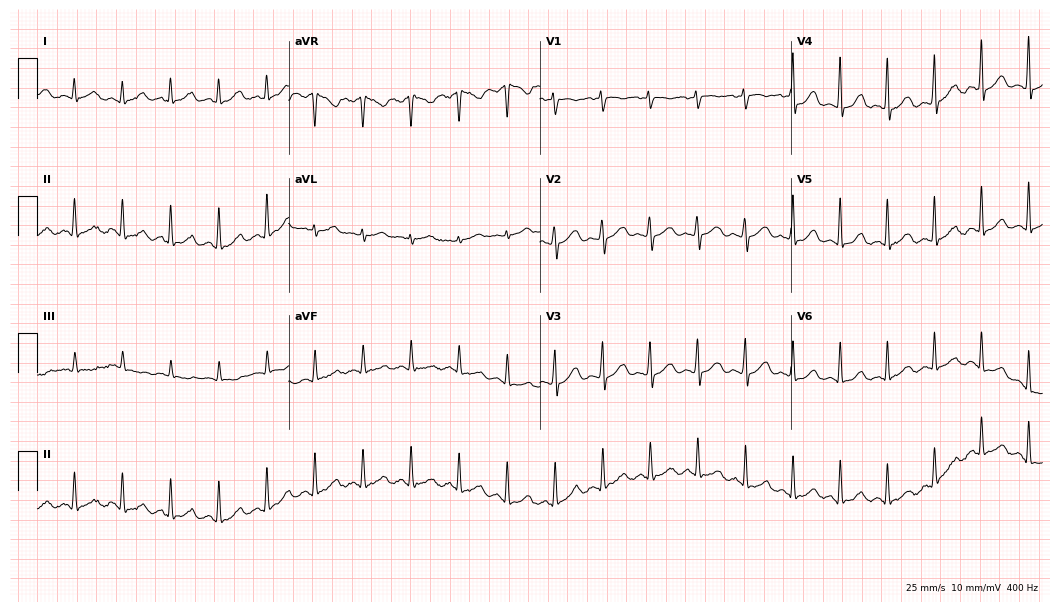
ECG (10.2-second recording at 400 Hz) — a 50-year-old female patient. Findings include sinus tachycardia (a sinus rate of 100 beats per minute or more).